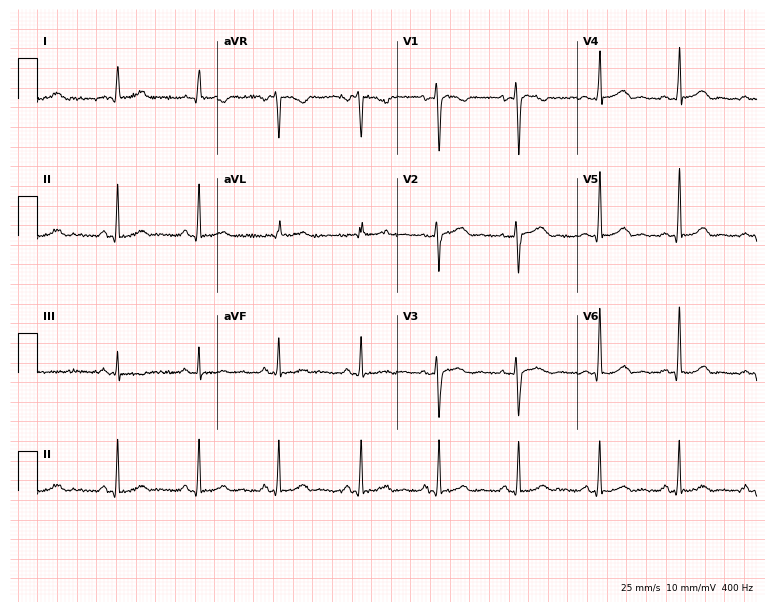
Standard 12-lead ECG recorded from a 42-year-old female (7.3-second recording at 400 Hz). Read as a normal ECG.